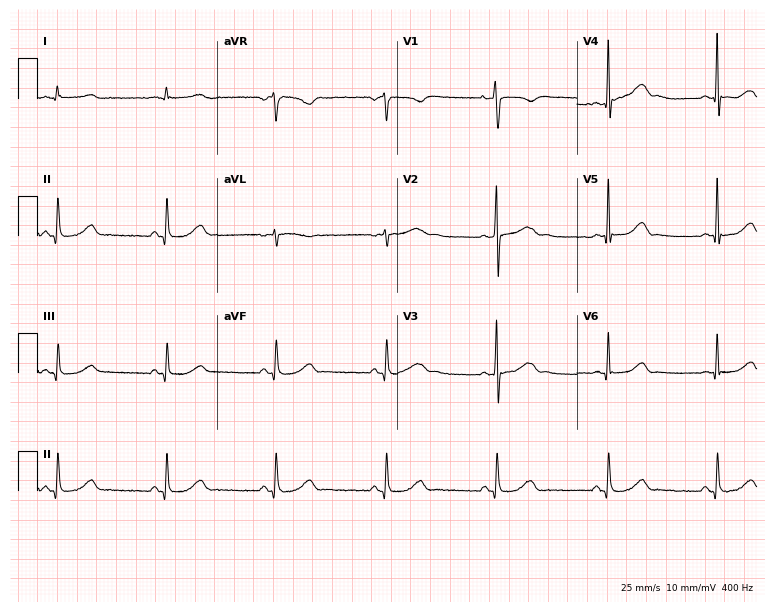
ECG (7.3-second recording at 400 Hz) — a man, 62 years old. Labelled as a normal ECG.